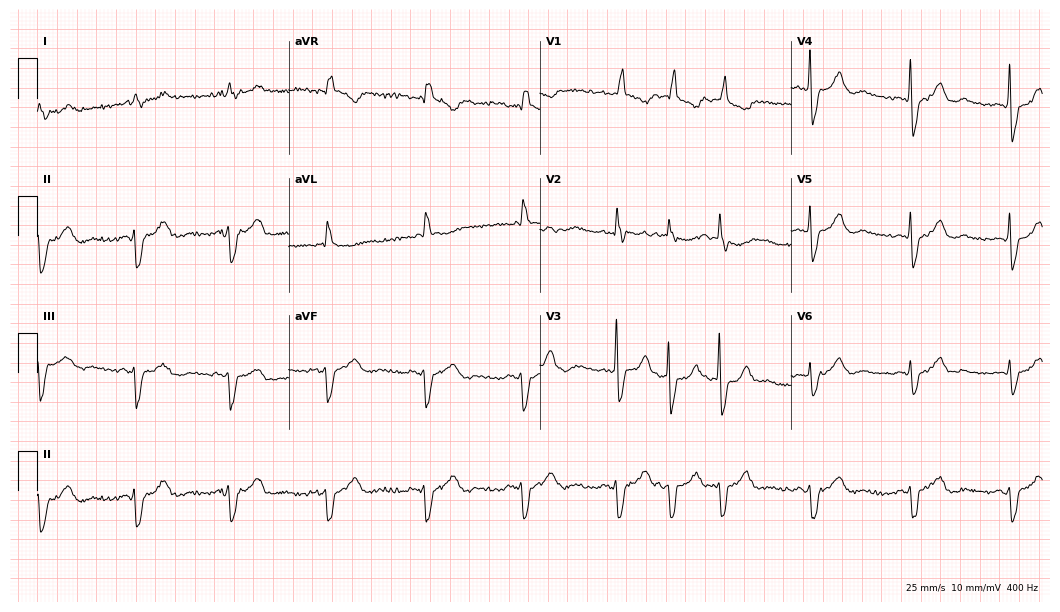
12-lead ECG (10.2-second recording at 400 Hz) from an 85-year-old man. Findings include right bundle branch block (RBBB).